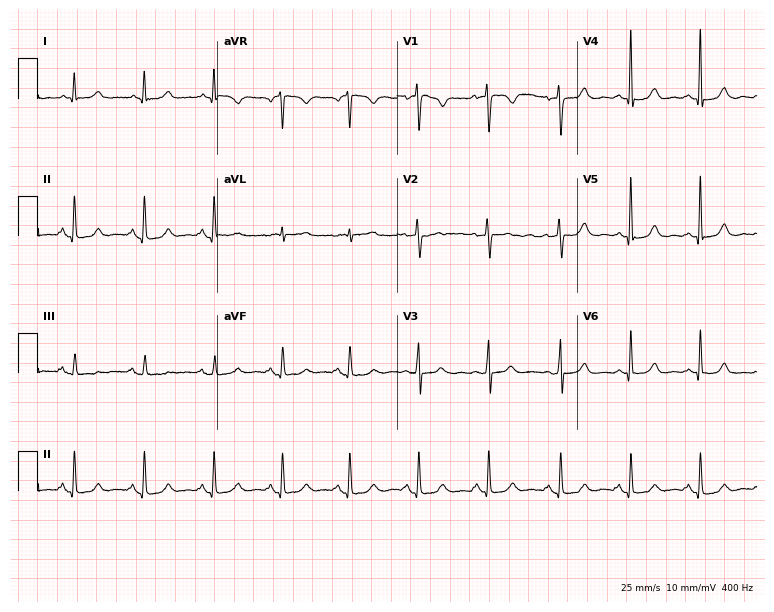
Standard 12-lead ECG recorded from a female, 53 years old (7.3-second recording at 400 Hz). Read as a normal ECG.